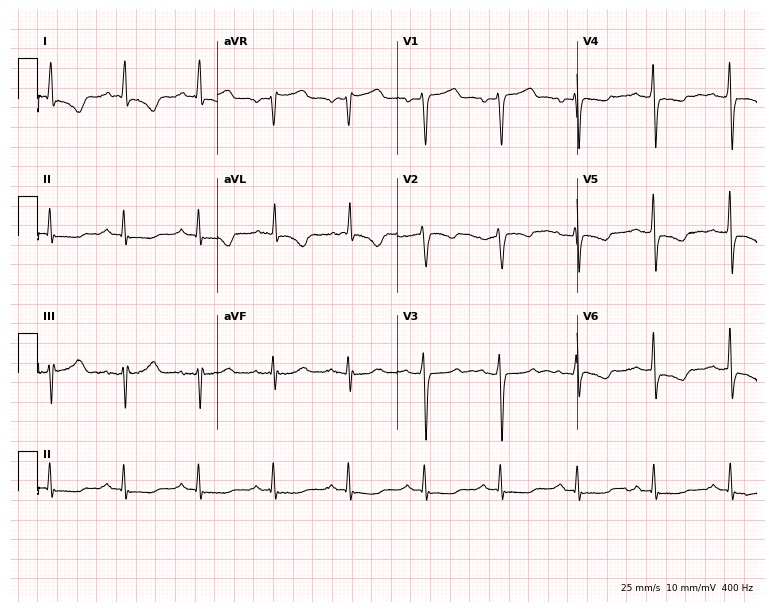
12-lead ECG from a woman, 64 years old. No first-degree AV block, right bundle branch block (RBBB), left bundle branch block (LBBB), sinus bradycardia, atrial fibrillation (AF) or sinus tachycardia recorded for this tracing.